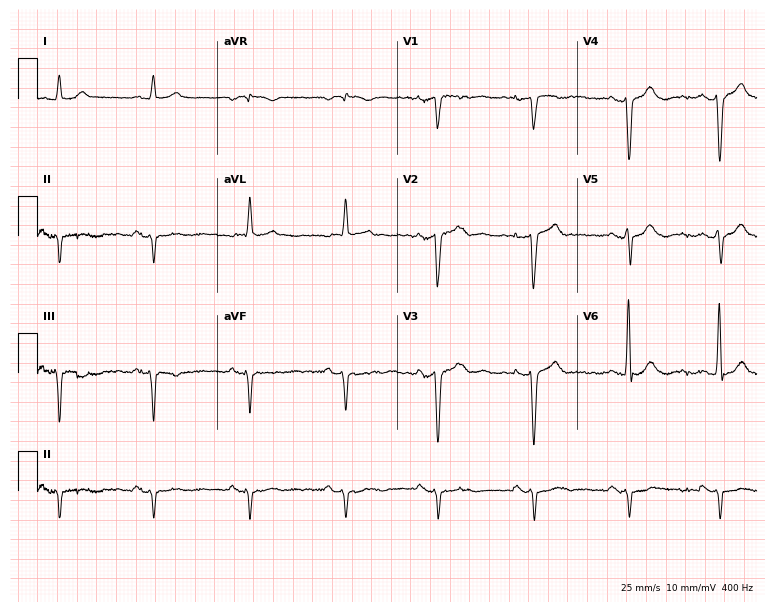
12-lead ECG from a male patient, 80 years old. No first-degree AV block, right bundle branch block (RBBB), left bundle branch block (LBBB), sinus bradycardia, atrial fibrillation (AF) or sinus tachycardia recorded for this tracing.